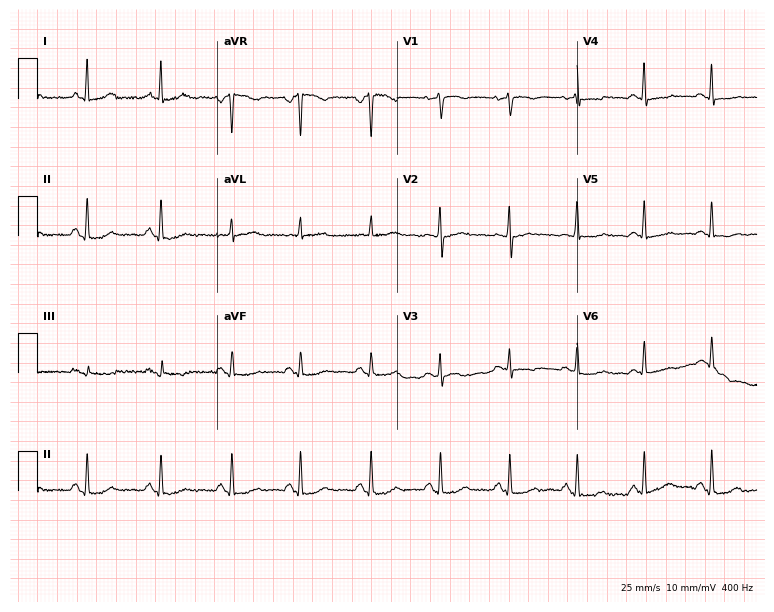
Standard 12-lead ECG recorded from a 55-year-old female patient (7.3-second recording at 400 Hz). None of these six findings is recorded: first-degree AV block, right bundle branch block, left bundle branch block, sinus bradycardia, atrial fibrillation, sinus tachycardia.